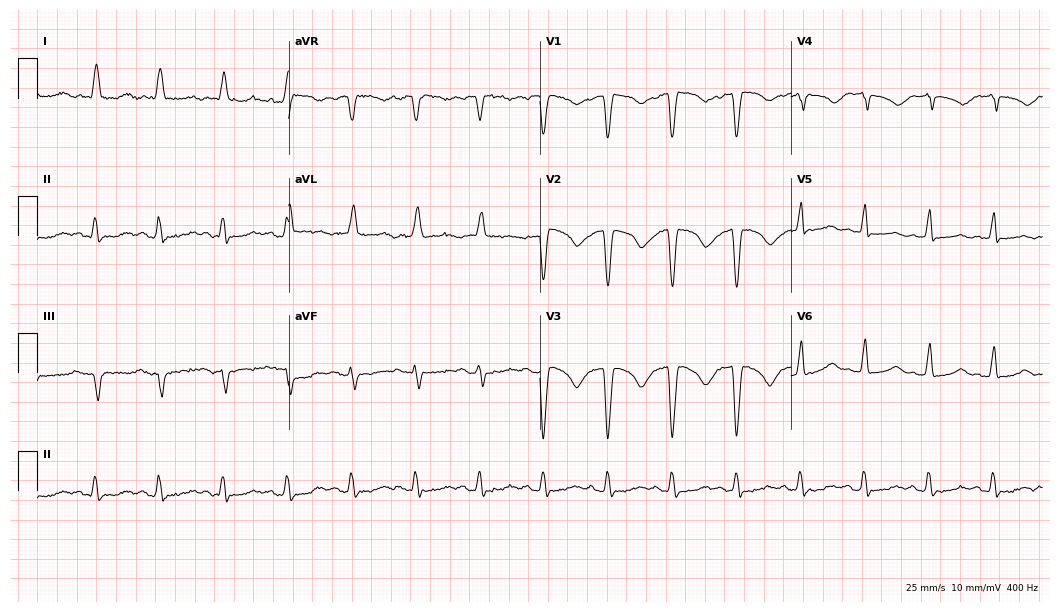
Resting 12-lead electrocardiogram (10.2-second recording at 400 Hz). Patient: a 75-year-old woman. None of these six findings is recorded: first-degree AV block, right bundle branch block, left bundle branch block, sinus bradycardia, atrial fibrillation, sinus tachycardia. Findings outside these six are not listed.